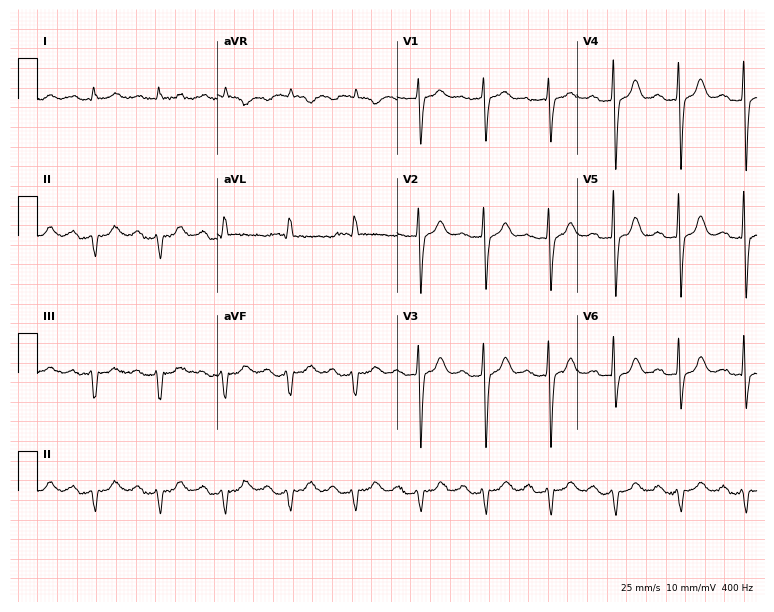
ECG — a man, 87 years old. Screened for six findings — first-degree AV block, right bundle branch block (RBBB), left bundle branch block (LBBB), sinus bradycardia, atrial fibrillation (AF), sinus tachycardia — none is recorded.